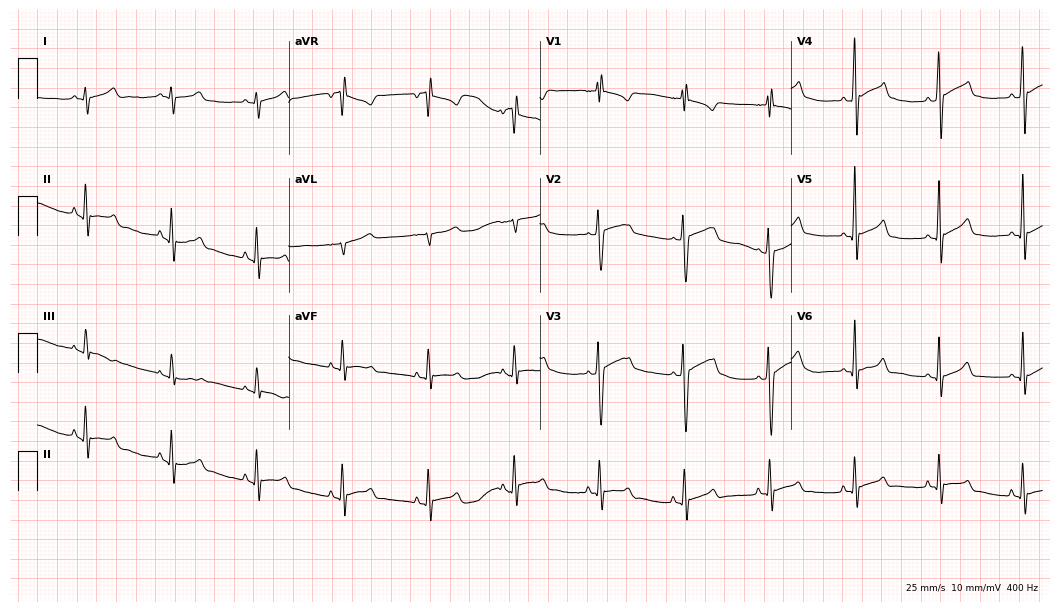
Electrocardiogram, a 17-year-old male patient. Of the six screened findings (first-degree AV block, right bundle branch block, left bundle branch block, sinus bradycardia, atrial fibrillation, sinus tachycardia), none is recorded.